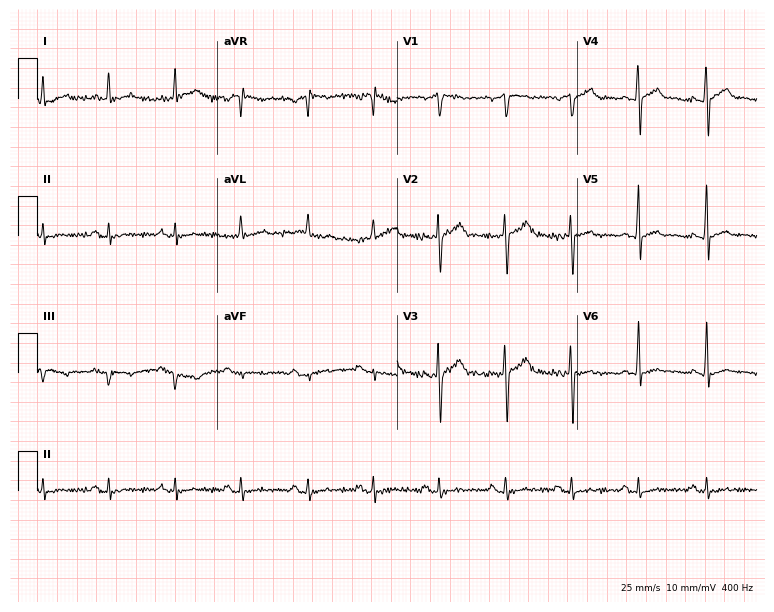
Resting 12-lead electrocardiogram (7.3-second recording at 400 Hz). Patient: a male, 59 years old. None of these six findings is recorded: first-degree AV block, right bundle branch block (RBBB), left bundle branch block (LBBB), sinus bradycardia, atrial fibrillation (AF), sinus tachycardia.